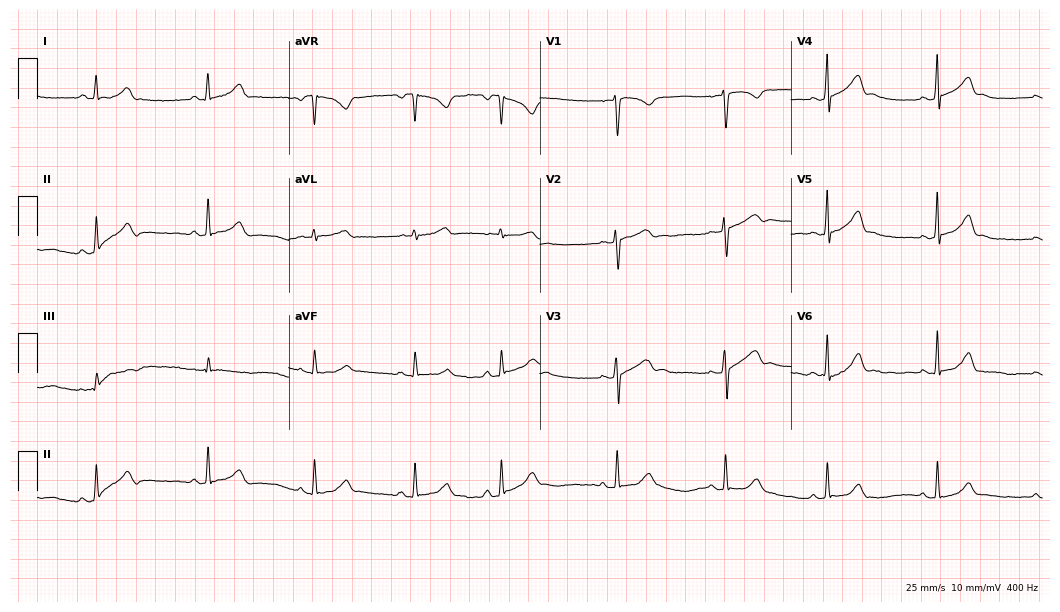
12-lead ECG from a 21-year-old female. Labelled as a normal ECG.